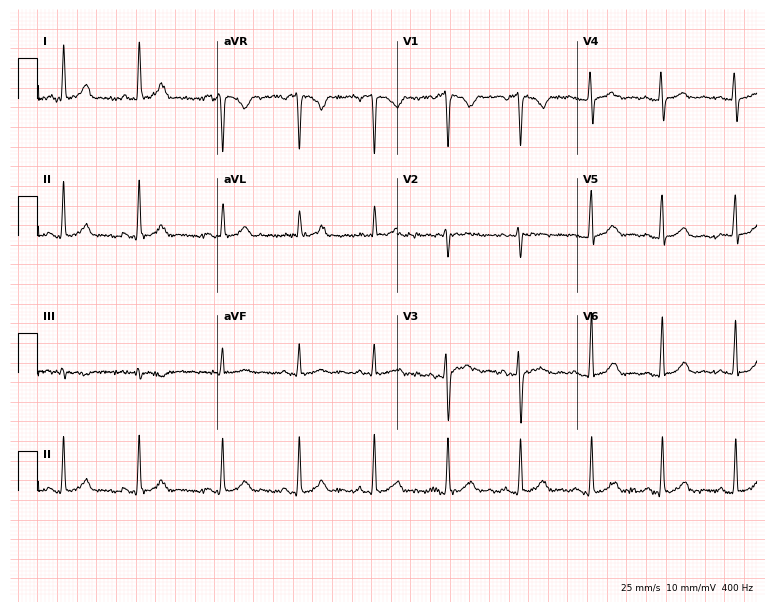
Standard 12-lead ECG recorded from a female, 37 years old (7.3-second recording at 400 Hz). None of these six findings is recorded: first-degree AV block, right bundle branch block (RBBB), left bundle branch block (LBBB), sinus bradycardia, atrial fibrillation (AF), sinus tachycardia.